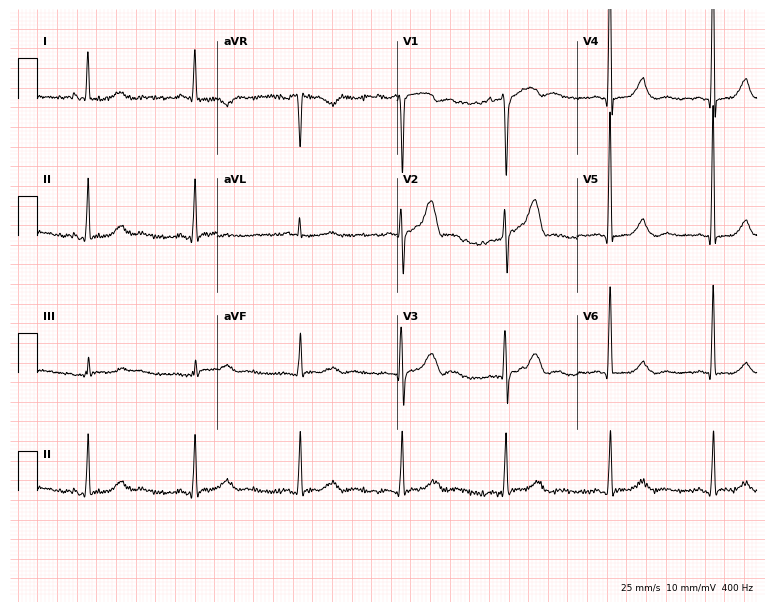
Standard 12-lead ECG recorded from a male, 56 years old (7.3-second recording at 400 Hz). None of these six findings is recorded: first-degree AV block, right bundle branch block, left bundle branch block, sinus bradycardia, atrial fibrillation, sinus tachycardia.